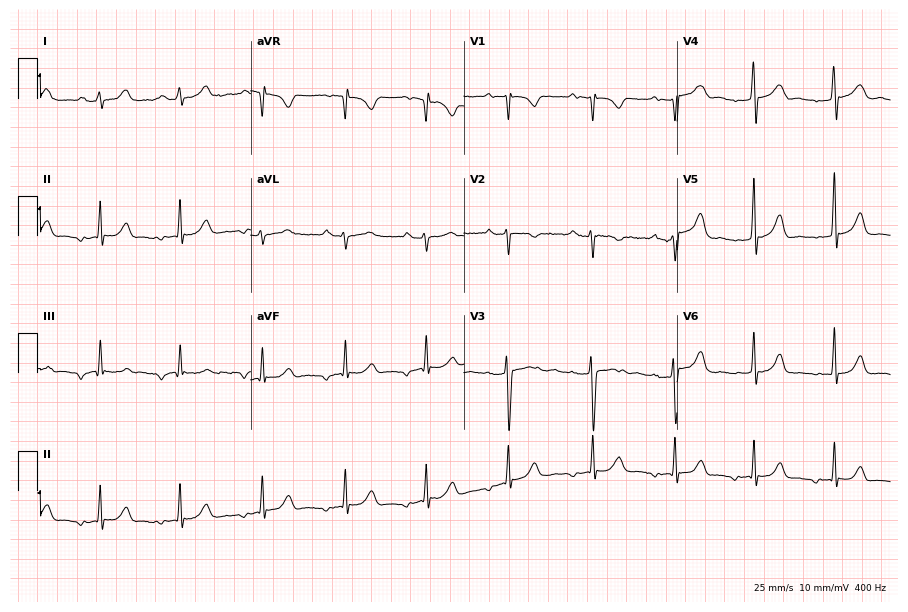
12-lead ECG from a 35-year-old female. No first-degree AV block, right bundle branch block, left bundle branch block, sinus bradycardia, atrial fibrillation or sinus tachycardia recorded for this tracing. Only these six findings were labelled.